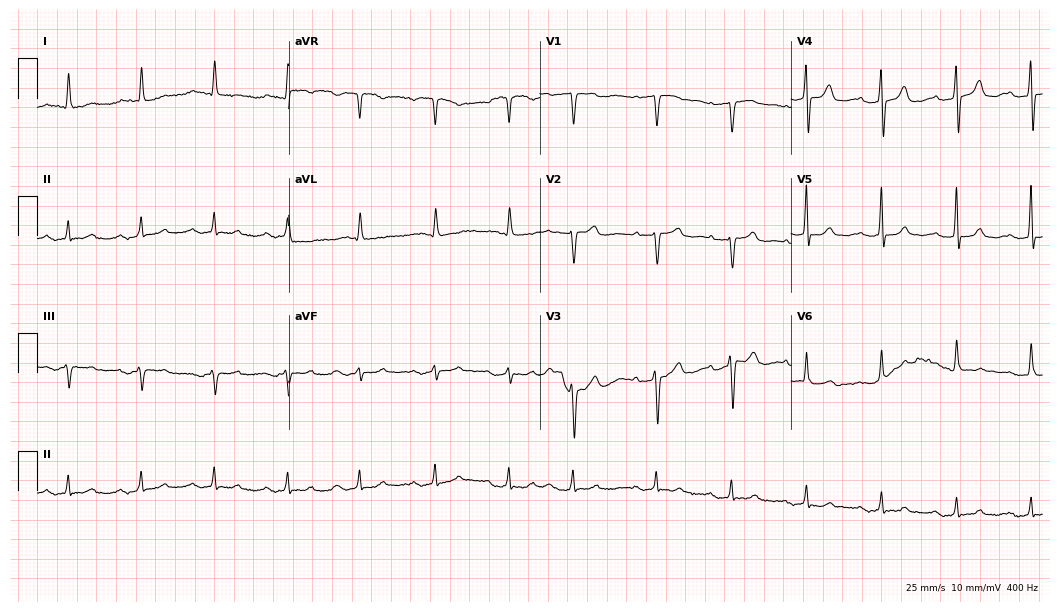
Electrocardiogram (10.2-second recording at 400 Hz), a 77-year-old female patient. Interpretation includes first-degree AV block.